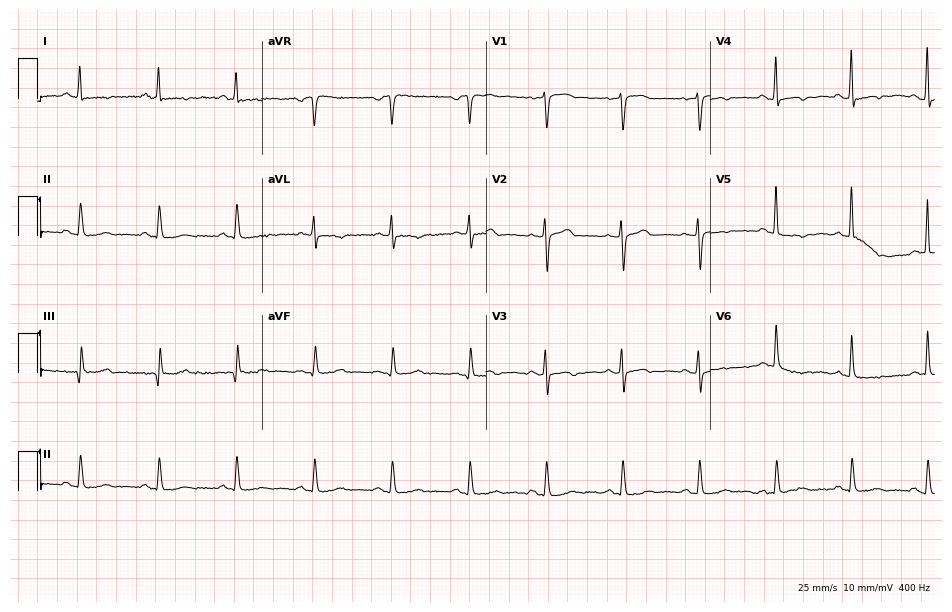
Electrocardiogram, a 58-year-old female patient. Of the six screened findings (first-degree AV block, right bundle branch block (RBBB), left bundle branch block (LBBB), sinus bradycardia, atrial fibrillation (AF), sinus tachycardia), none is recorded.